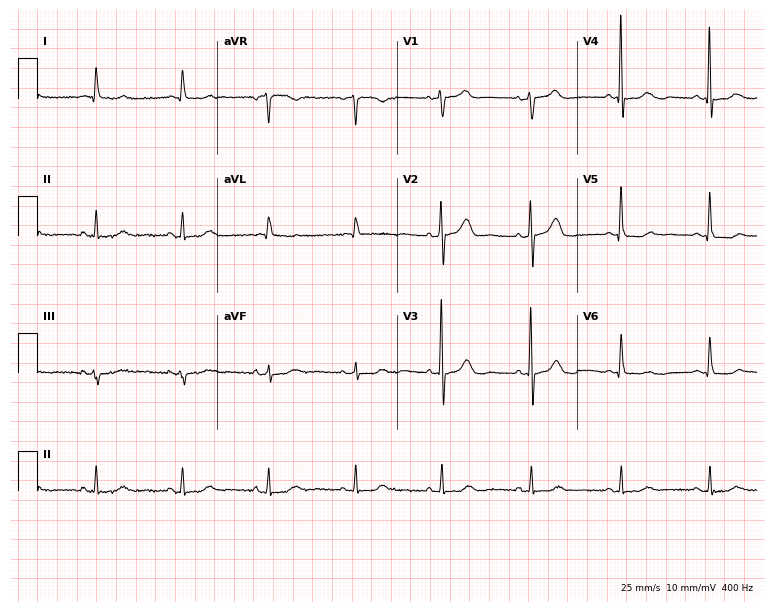
Standard 12-lead ECG recorded from a female patient, 89 years old (7.3-second recording at 400 Hz). Read as a normal ECG.